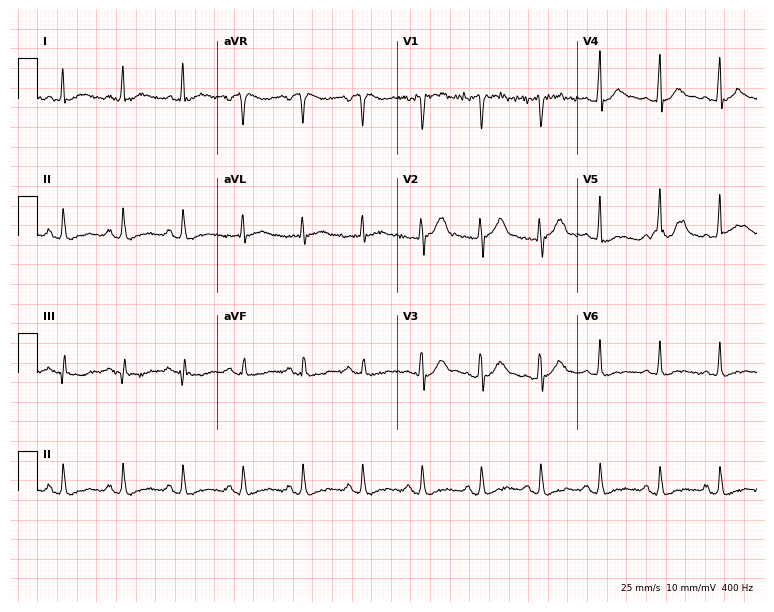
Electrocardiogram, a 54-year-old man. Of the six screened findings (first-degree AV block, right bundle branch block (RBBB), left bundle branch block (LBBB), sinus bradycardia, atrial fibrillation (AF), sinus tachycardia), none is recorded.